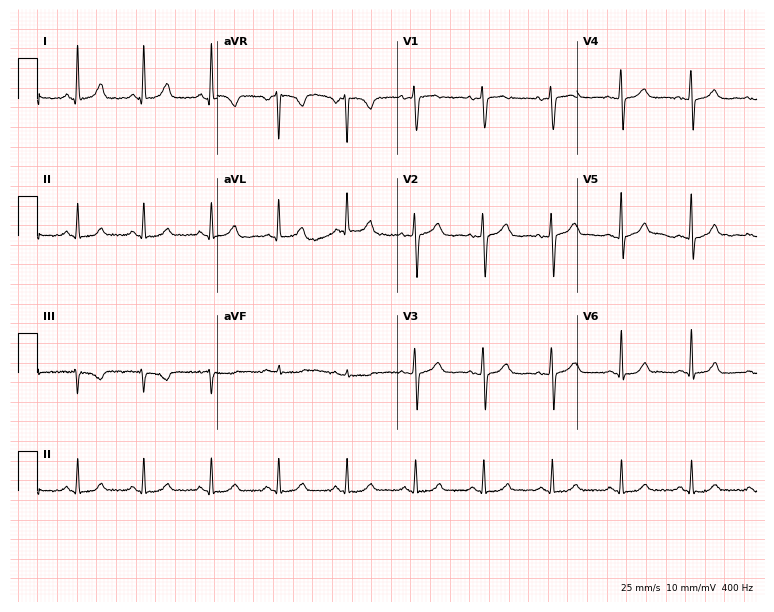
Electrocardiogram (7.3-second recording at 400 Hz), a female, 54 years old. Of the six screened findings (first-degree AV block, right bundle branch block, left bundle branch block, sinus bradycardia, atrial fibrillation, sinus tachycardia), none is recorded. Findings outside these six are not listed.